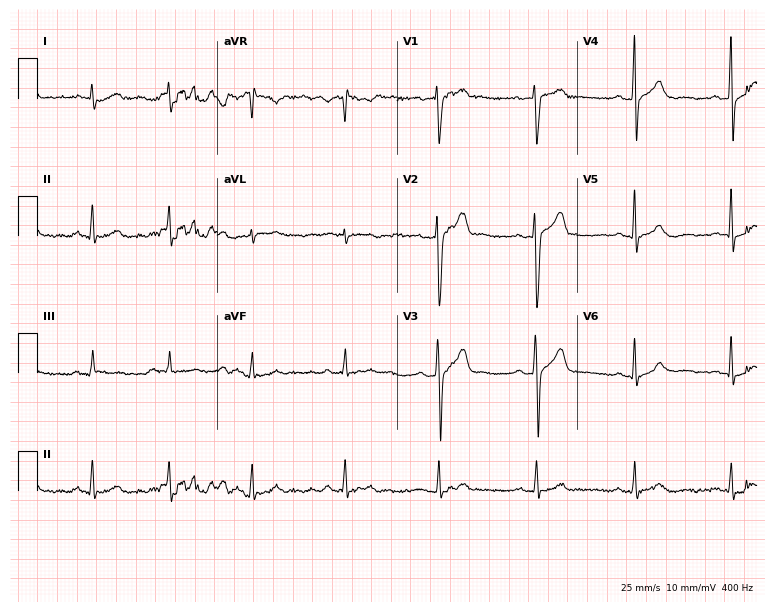
Standard 12-lead ECG recorded from a 34-year-old man. Read as a normal ECG.